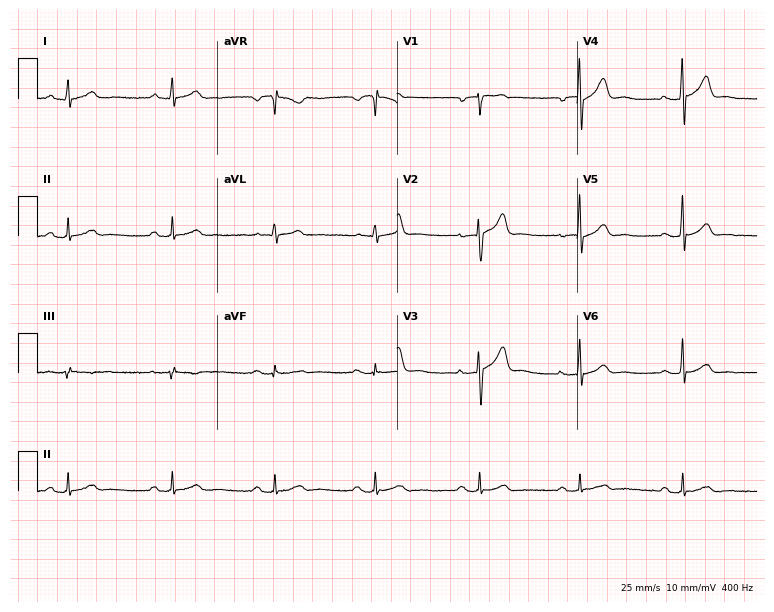
Resting 12-lead electrocardiogram. Patient: a male, 50 years old. Read as a normal ECG.